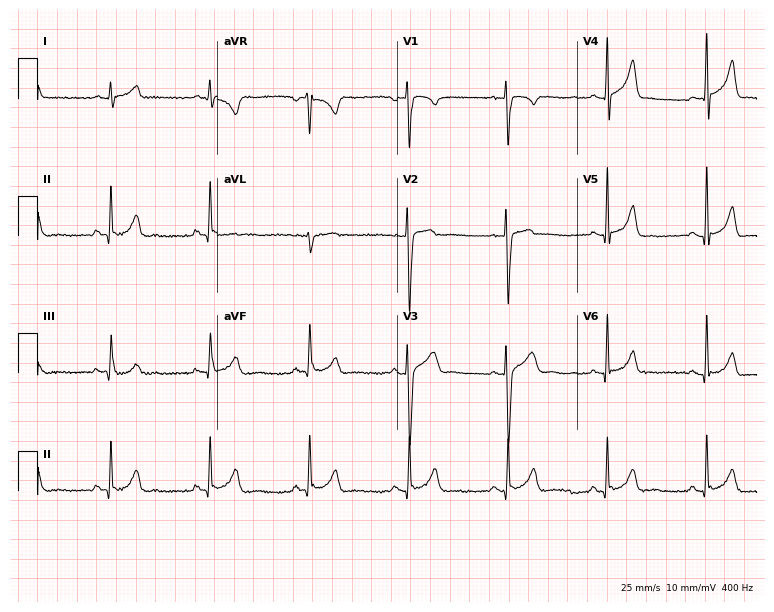
Standard 12-lead ECG recorded from a male patient, 18 years old. None of these six findings is recorded: first-degree AV block, right bundle branch block (RBBB), left bundle branch block (LBBB), sinus bradycardia, atrial fibrillation (AF), sinus tachycardia.